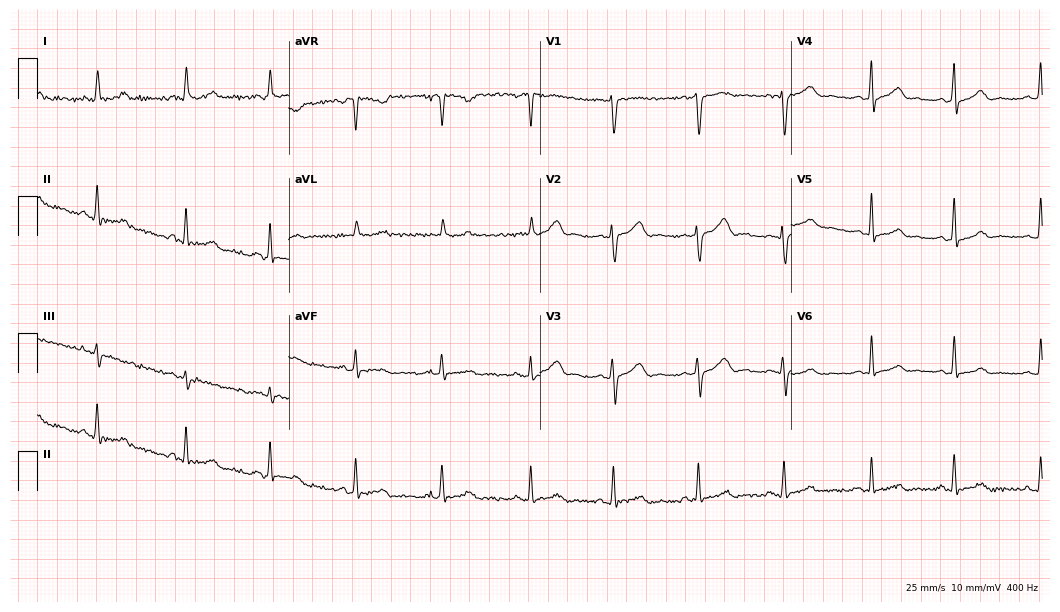
Electrocardiogram, a 44-year-old woman. Overall reading on record: normal ECG.